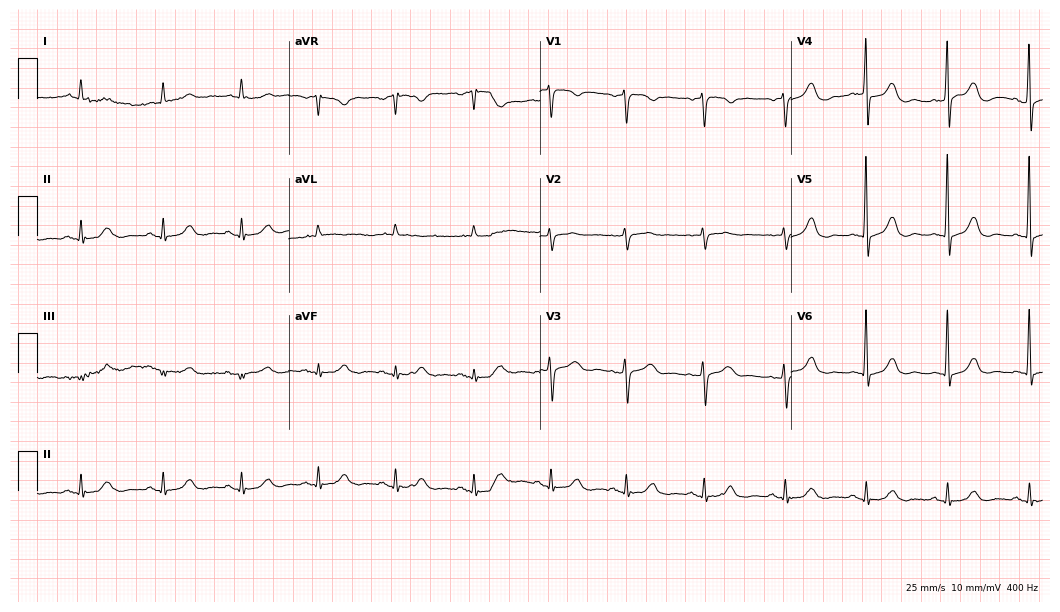
12-lead ECG from a female patient, 56 years old (10.2-second recording at 400 Hz). No first-degree AV block, right bundle branch block, left bundle branch block, sinus bradycardia, atrial fibrillation or sinus tachycardia recorded for this tracing. Other findings, if any, are not listed.